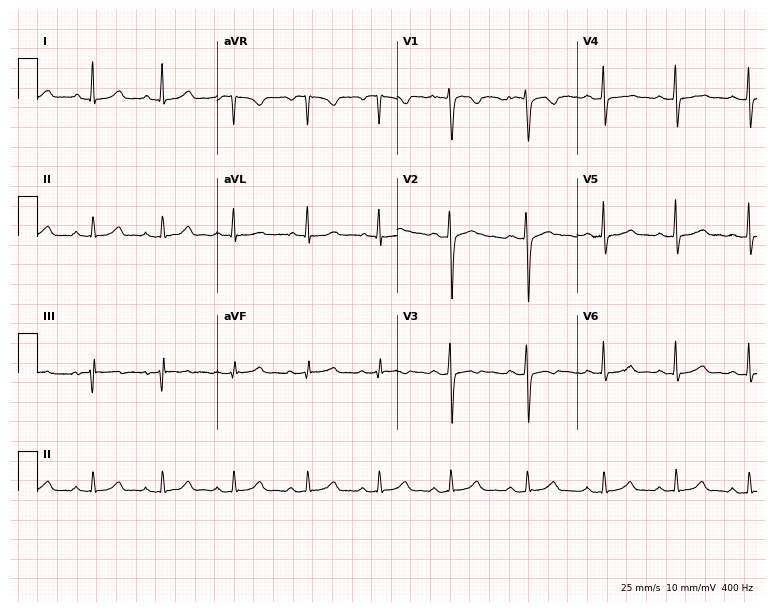
12-lead ECG from a 34-year-old female patient. Labelled as a normal ECG.